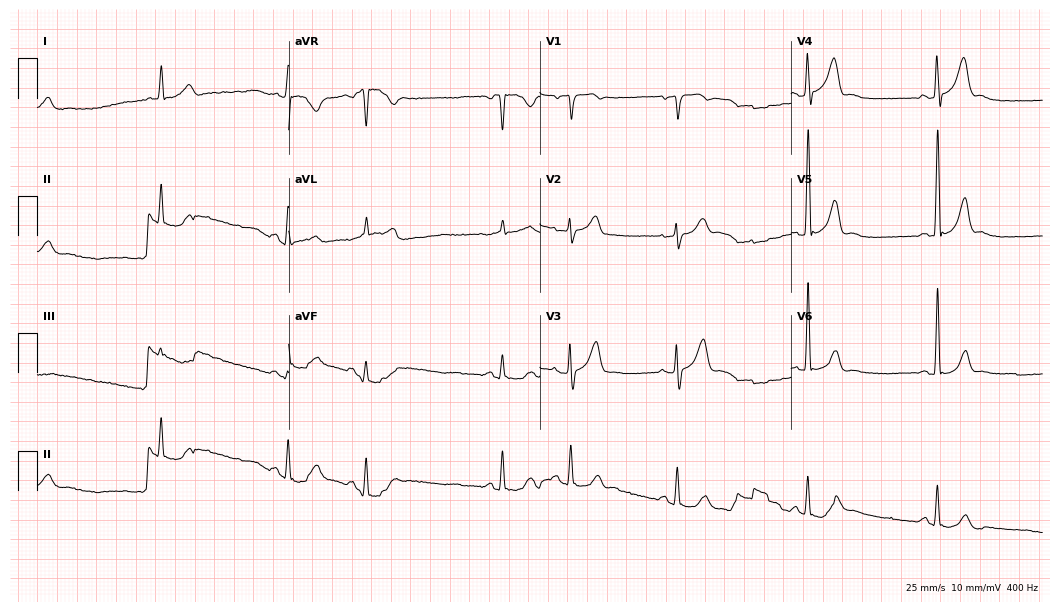
12-lead ECG from a 72-year-old male (10.2-second recording at 400 Hz). No first-degree AV block, right bundle branch block, left bundle branch block, sinus bradycardia, atrial fibrillation or sinus tachycardia recorded for this tracing.